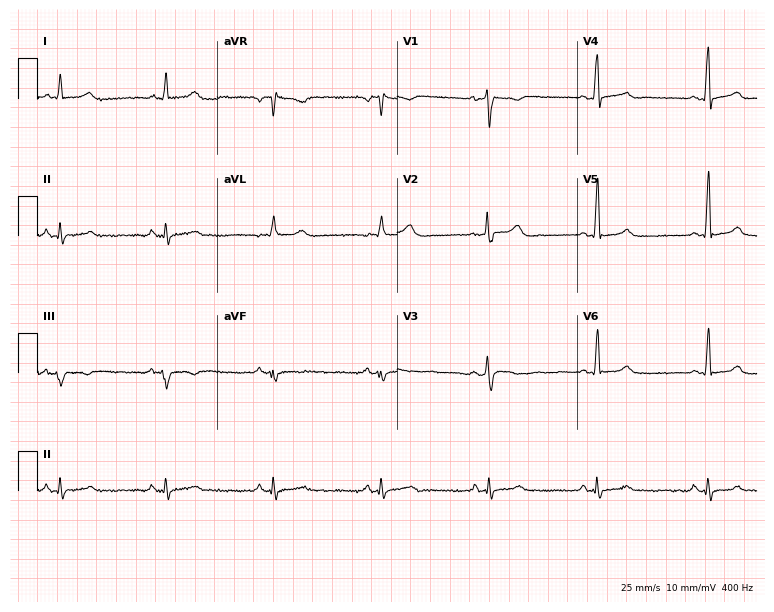
Electrocardiogram, a male patient, 53 years old. Overall reading on record: normal ECG.